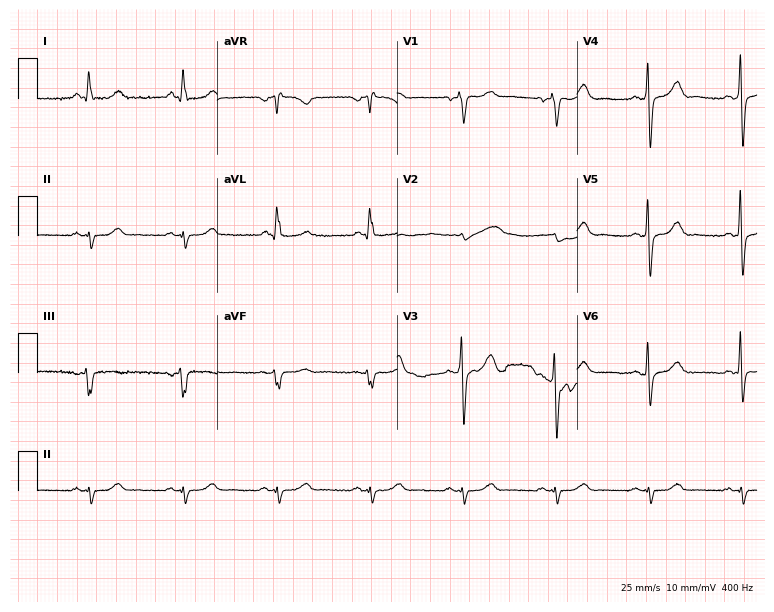
12-lead ECG from a man, 77 years old. Screened for six findings — first-degree AV block, right bundle branch block, left bundle branch block, sinus bradycardia, atrial fibrillation, sinus tachycardia — none is recorded.